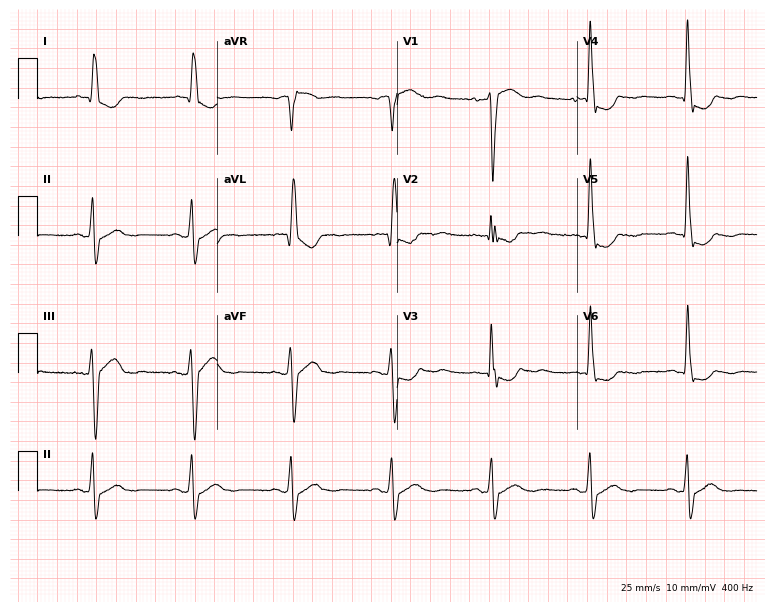
ECG (7.3-second recording at 400 Hz) — a male patient, 74 years old. Screened for six findings — first-degree AV block, right bundle branch block (RBBB), left bundle branch block (LBBB), sinus bradycardia, atrial fibrillation (AF), sinus tachycardia — none is recorded. Only these six findings were labelled.